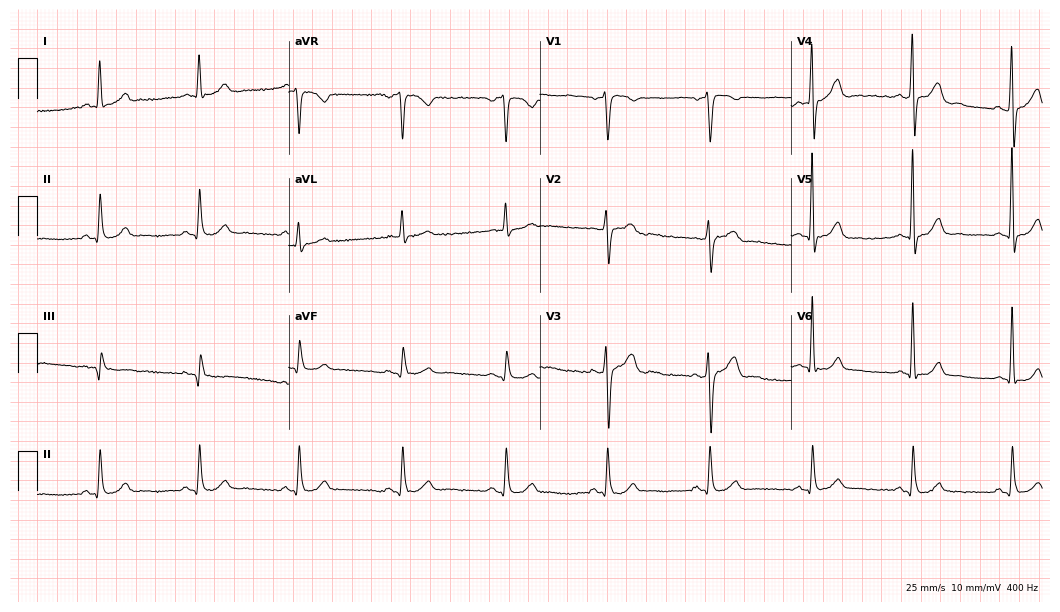
Resting 12-lead electrocardiogram. Patient: a 59-year-old man. None of these six findings is recorded: first-degree AV block, right bundle branch block, left bundle branch block, sinus bradycardia, atrial fibrillation, sinus tachycardia.